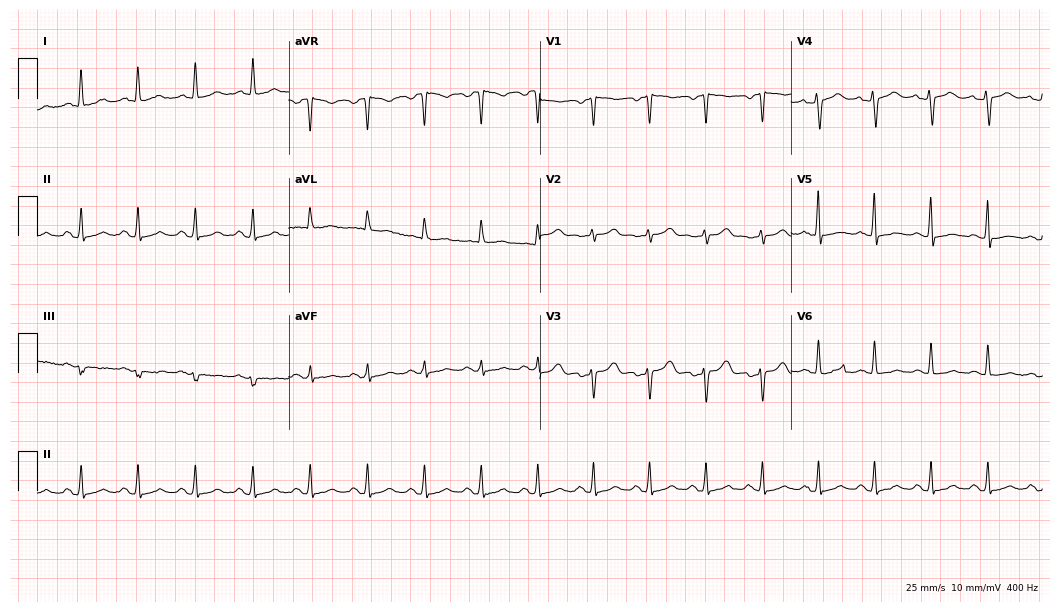
Standard 12-lead ECG recorded from a female patient, 40 years old. None of these six findings is recorded: first-degree AV block, right bundle branch block (RBBB), left bundle branch block (LBBB), sinus bradycardia, atrial fibrillation (AF), sinus tachycardia. Findings outside these six are not listed.